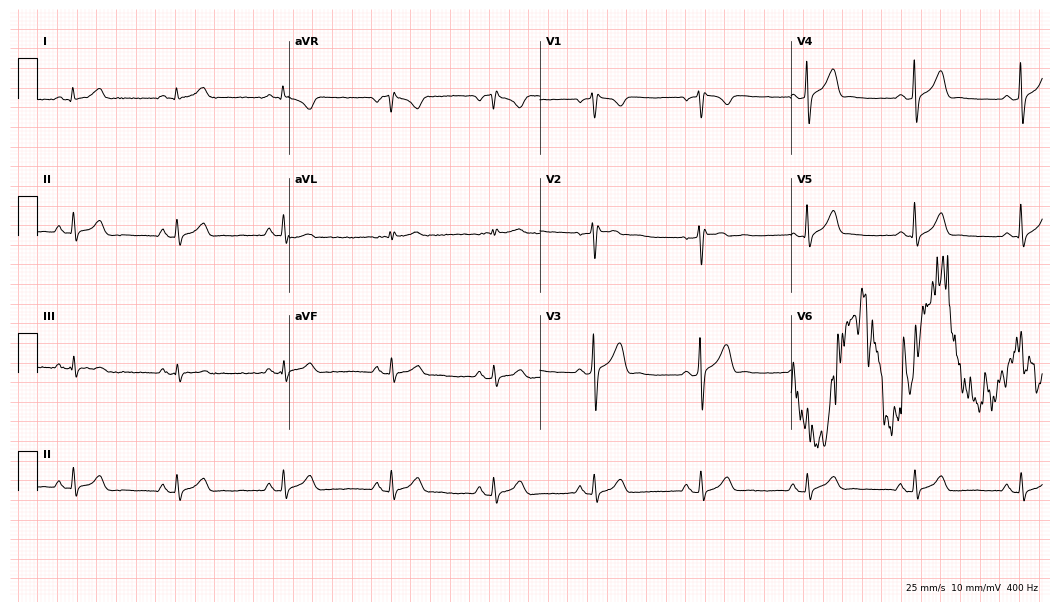
Standard 12-lead ECG recorded from a man, 37 years old (10.2-second recording at 400 Hz). None of these six findings is recorded: first-degree AV block, right bundle branch block, left bundle branch block, sinus bradycardia, atrial fibrillation, sinus tachycardia. Only these six findings were labelled.